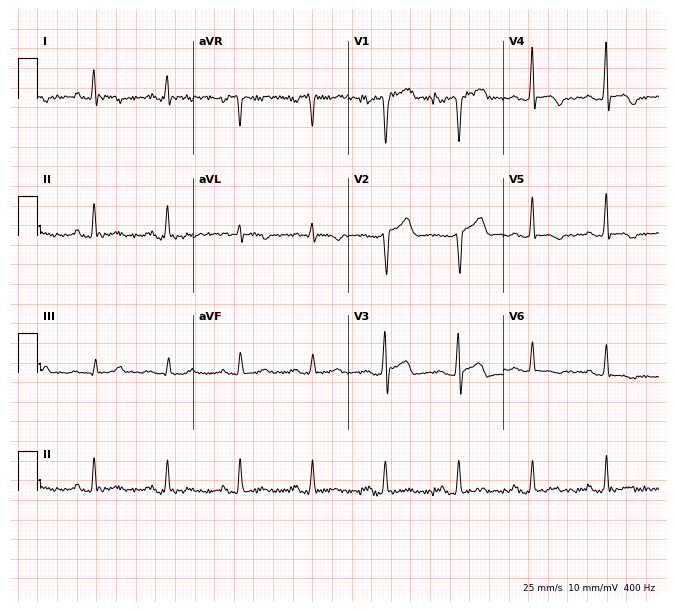
12-lead ECG from a 51-year-old male patient (6.3-second recording at 400 Hz). No first-degree AV block, right bundle branch block, left bundle branch block, sinus bradycardia, atrial fibrillation or sinus tachycardia recorded for this tracing.